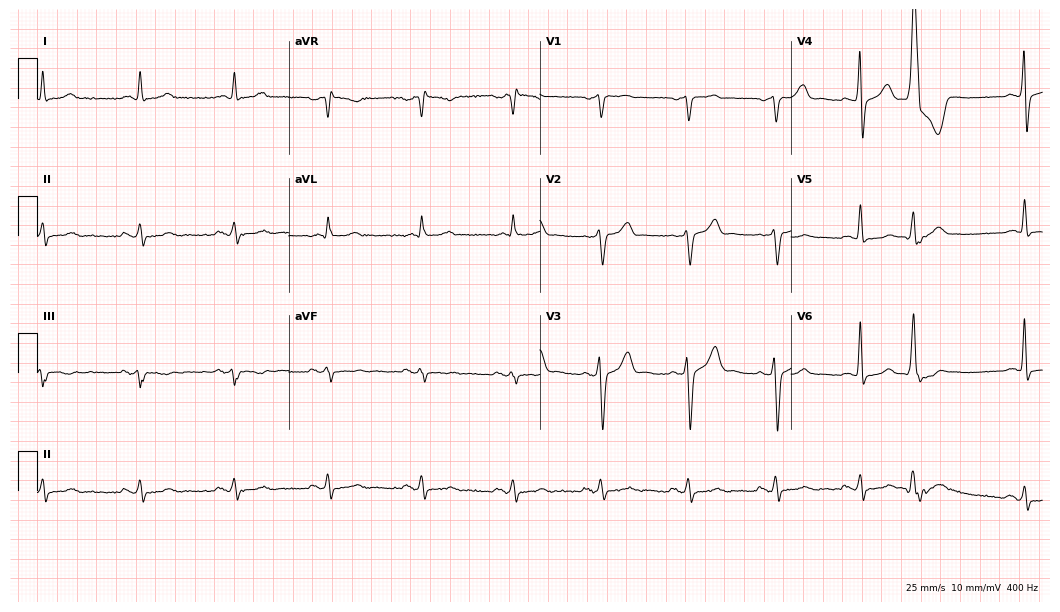
12-lead ECG (10.2-second recording at 400 Hz) from a man, 61 years old. Screened for six findings — first-degree AV block, right bundle branch block, left bundle branch block, sinus bradycardia, atrial fibrillation, sinus tachycardia — none is recorded.